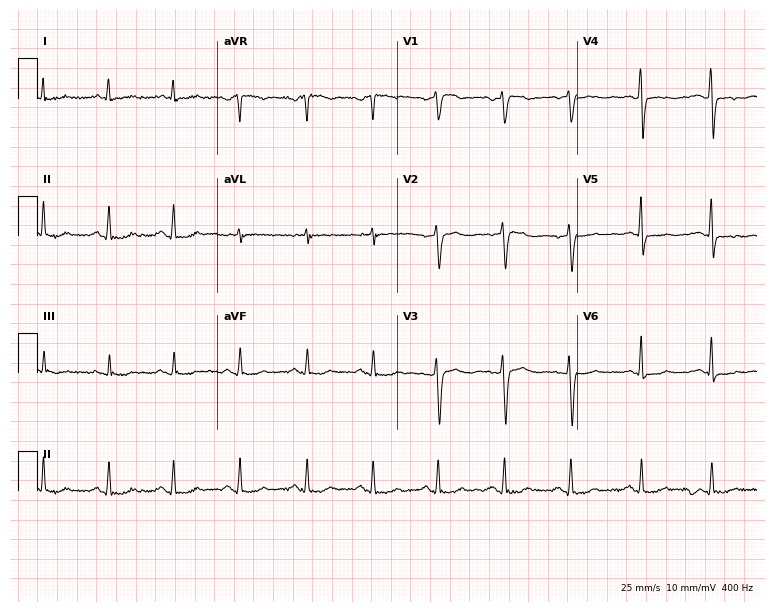
12-lead ECG (7.3-second recording at 400 Hz) from a 48-year-old female. Screened for six findings — first-degree AV block, right bundle branch block, left bundle branch block, sinus bradycardia, atrial fibrillation, sinus tachycardia — none is recorded. Only these six findings were labelled.